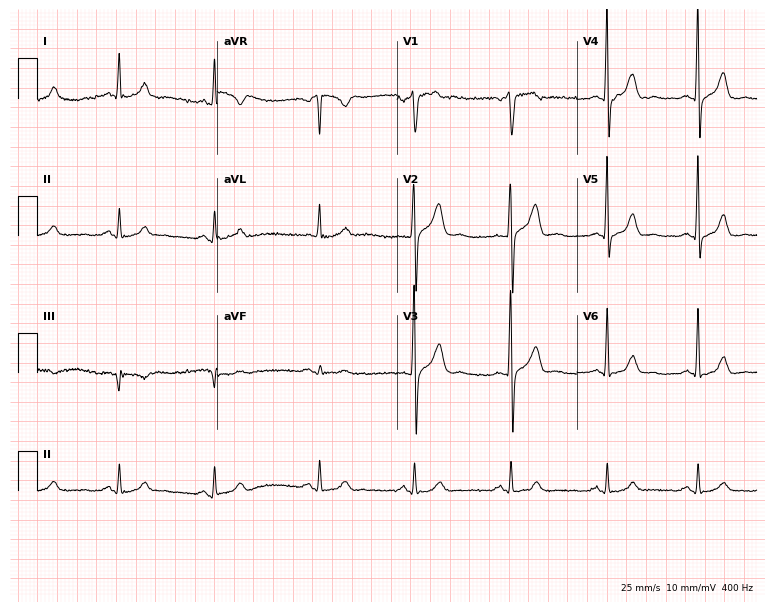
Standard 12-lead ECG recorded from a 39-year-old man. None of these six findings is recorded: first-degree AV block, right bundle branch block, left bundle branch block, sinus bradycardia, atrial fibrillation, sinus tachycardia.